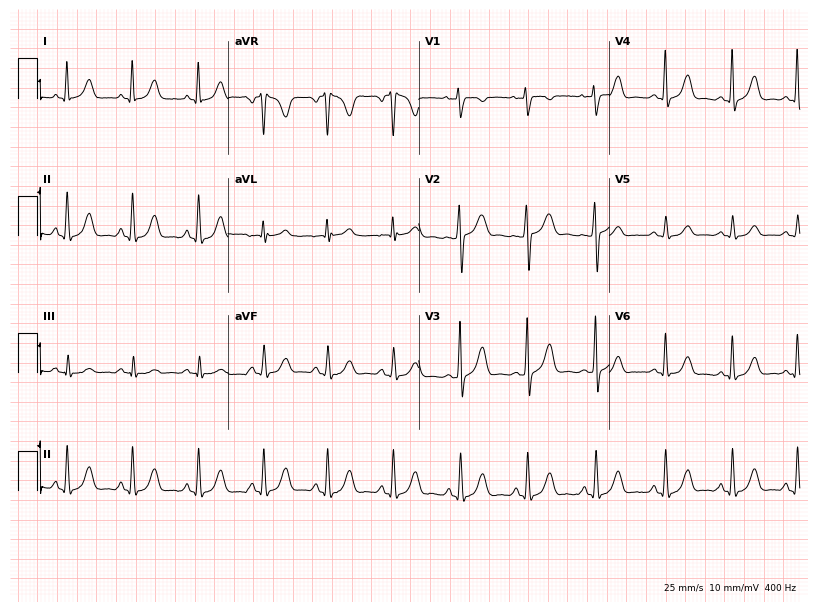
Standard 12-lead ECG recorded from a woman, 28 years old. Read as a normal ECG.